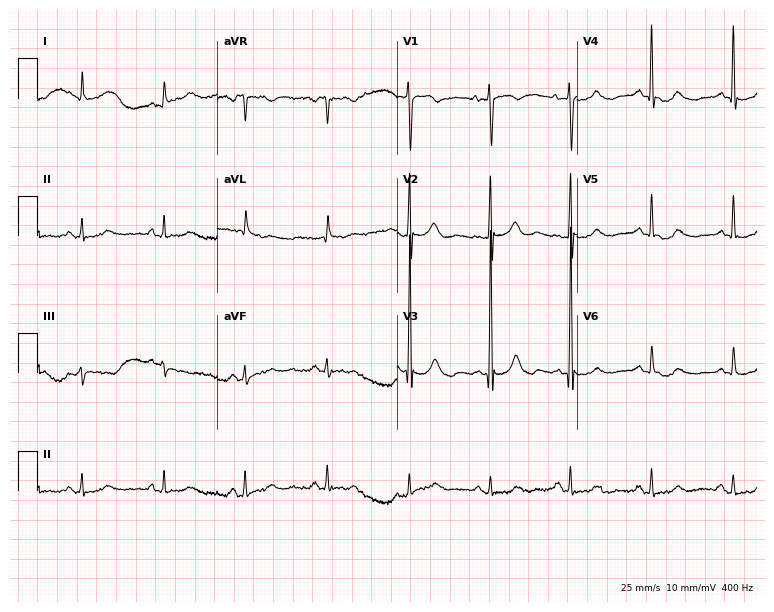
Standard 12-lead ECG recorded from an 81-year-old female patient (7.3-second recording at 400 Hz). None of these six findings is recorded: first-degree AV block, right bundle branch block, left bundle branch block, sinus bradycardia, atrial fibrillation, sinus tachycardia. Only these six findings were labelled.